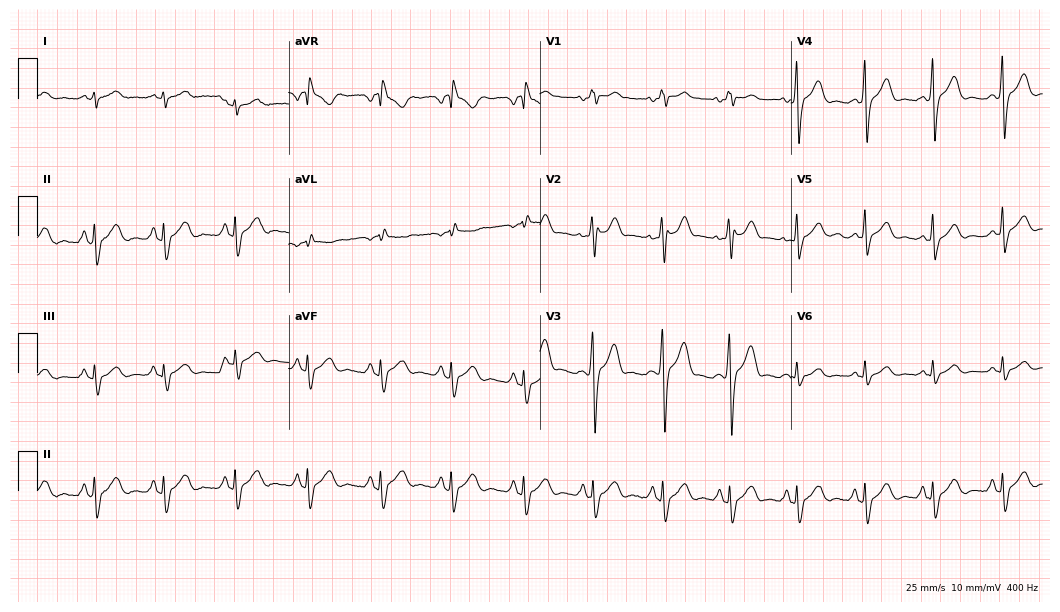
Resting 12-lead electrocardiogram (10.2-second recording at 400 Hz). Patient: a 26-year-old male. None of these six findings is recorded: first-degree AV block, right bundle branch block, left bundle branch block, sinus bradycardia, atrial fibrillation, sinus tachycardia.